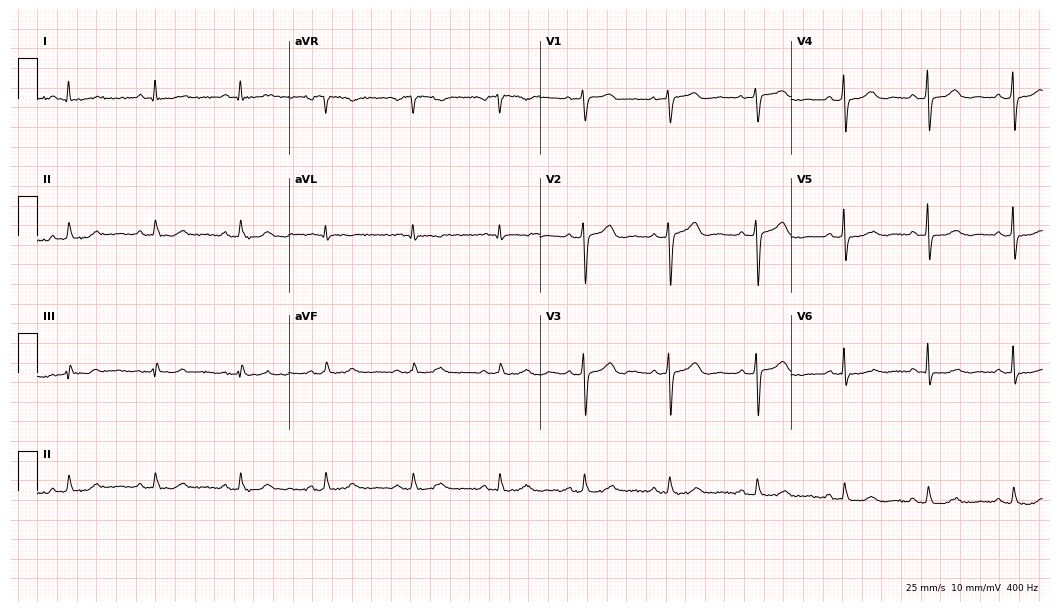
12-lead ECG (10.2-second recording at 400 Hz) from a female patient, 62 years old. Labelled as a normal ECG.